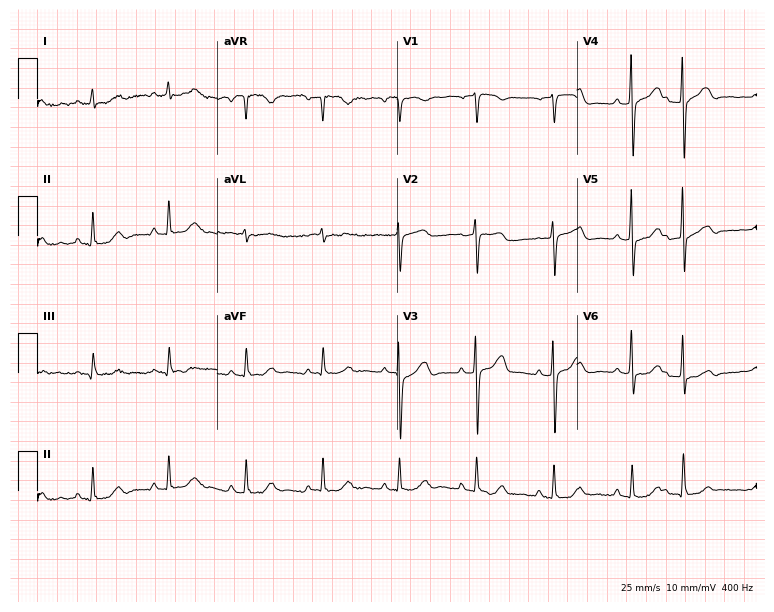
Electrocardiogram (7.3-second recording at 400 Hz), a male, 70 years old. Of the six screened findings (first-degree AV block, right bundle branch block, left bundle branch block, sinus bradycardia, atrial fibrillation, sinus tachycardia), none is recorded.